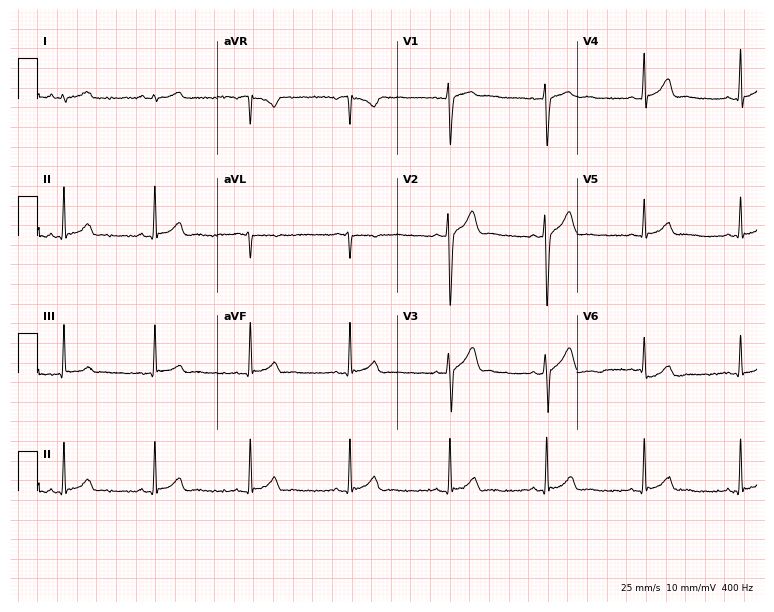
ECG (7.3-second recording at 400 Hz) — a 26-year-old male. Labelled as a normal ECG.